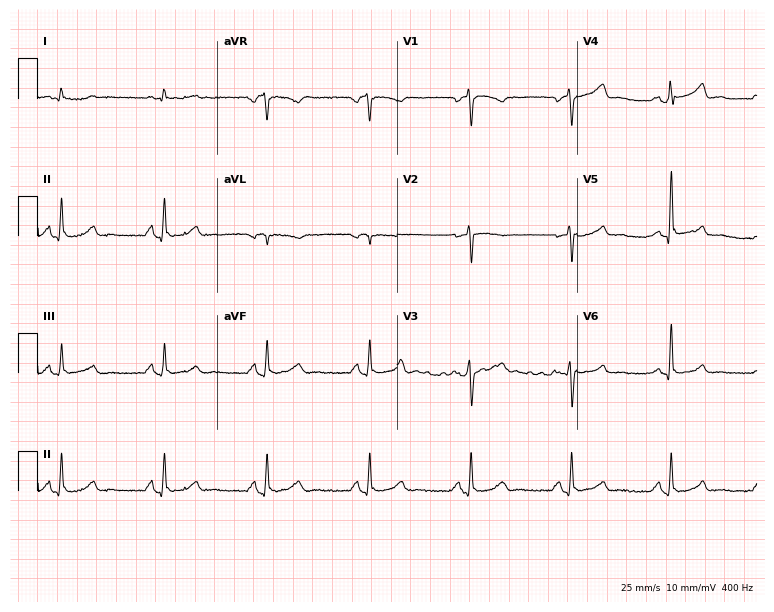
ECG — a 49-year-old male. Screened for six findings — first-degree AV block, right bundle branch block, left bundle branch block, sinus bradycardia, atrial fibrillation, sinus tachycardia — none is recorded.